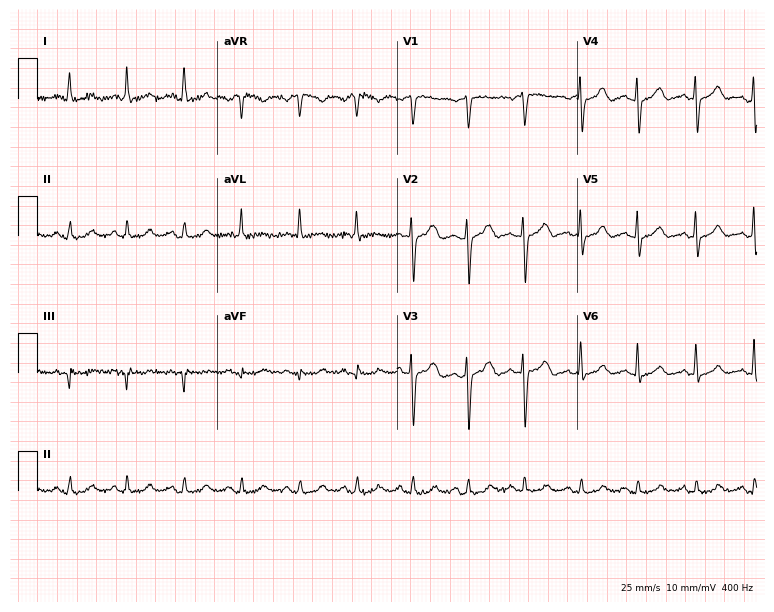
Standard 12-lead ECG recorded from a 64-year-old female (7.3-second recording at 400 Hz). None of these six findings is recorded: first-degree AV block, right bundle branch block (RBBB), left bundle branch block (LBBB), sinus bradycardia, atrial fibrillation (AF), sinus tachycardia.